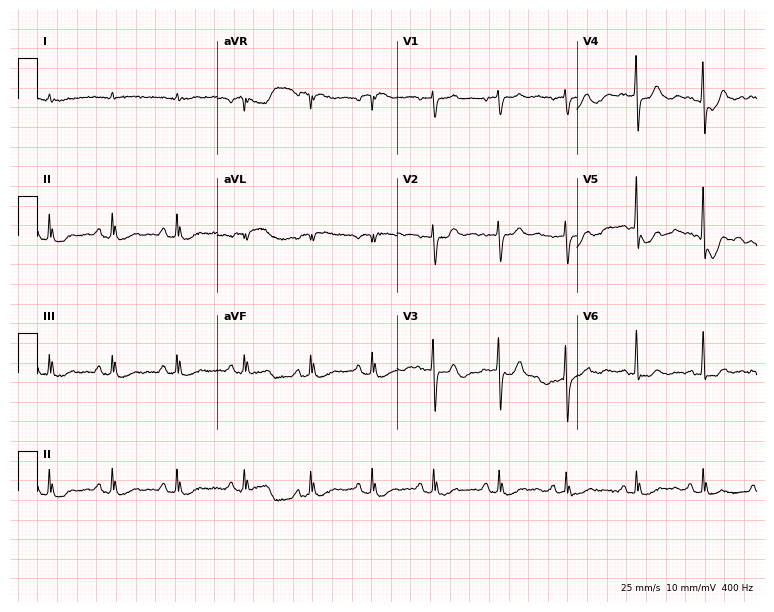
12-lead ECG (7.3-second recording at 400 Hz) from a male, 85 years old. Labelled as a normal ECG.